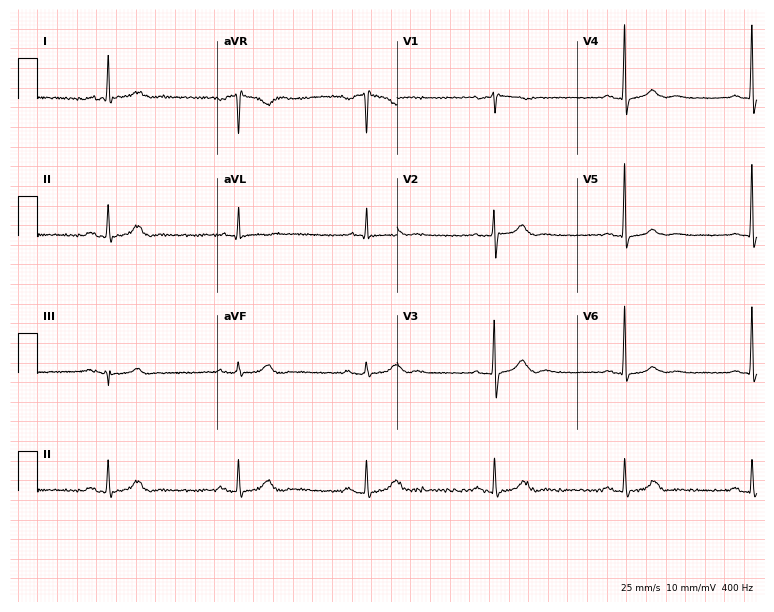
Standard 12-lead ECG recorded from a woman, 81 years old. The tracing shows sinus bradycardia (a sinus rate of 50 beats per minute or less).